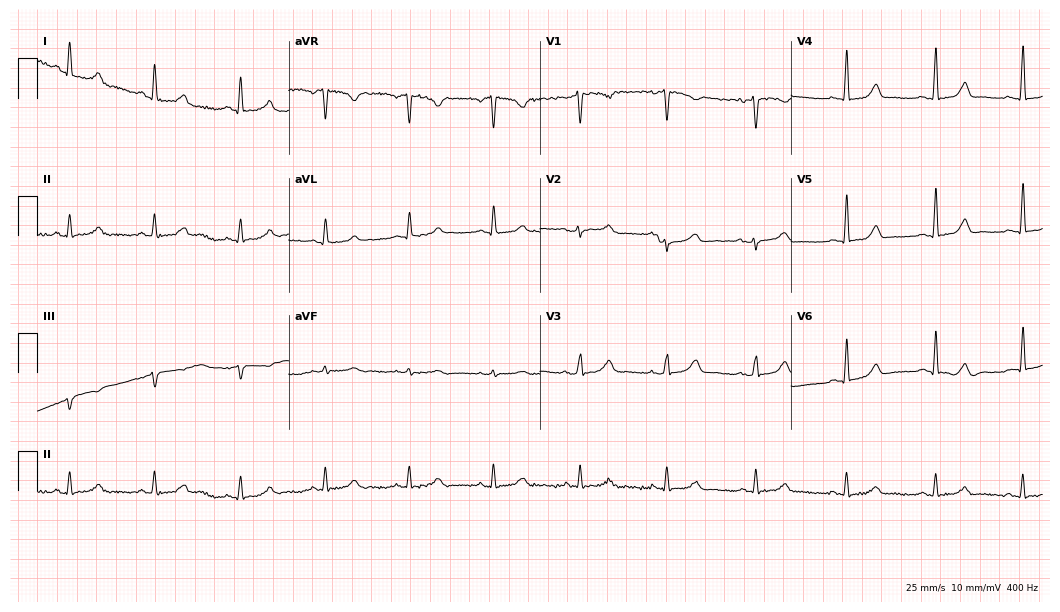
Standard 12-lead ECG recorded from a woman, 40 years old (10.2-second recording at 400 Hz). Read as a normal ECG.